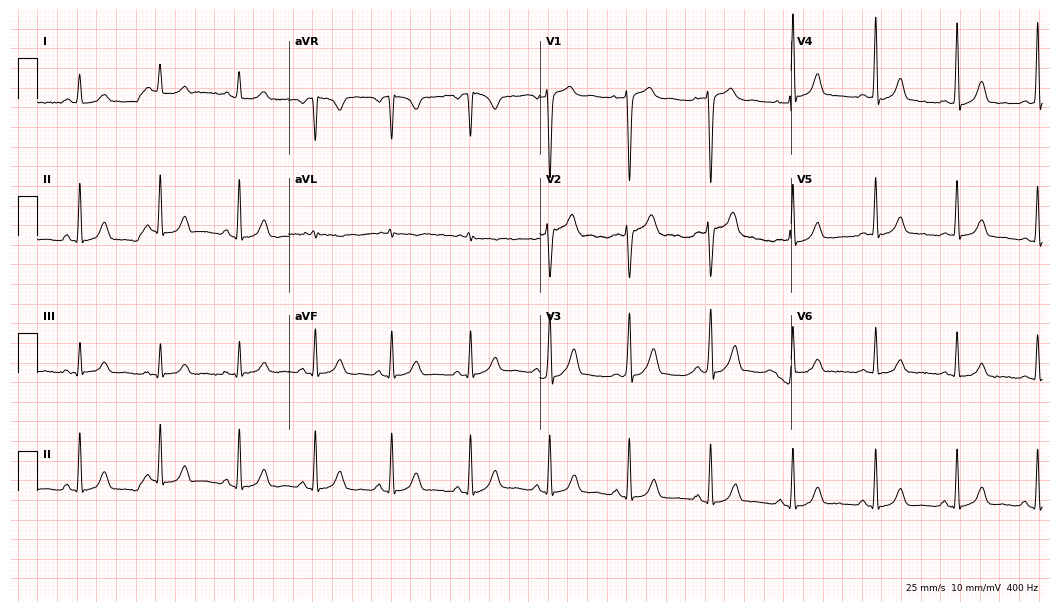
Resting 12-lead electrocardiogram (10.2-second recording at 400 Hz). Patient: a 30-year-old female. Read as a normal ECG.